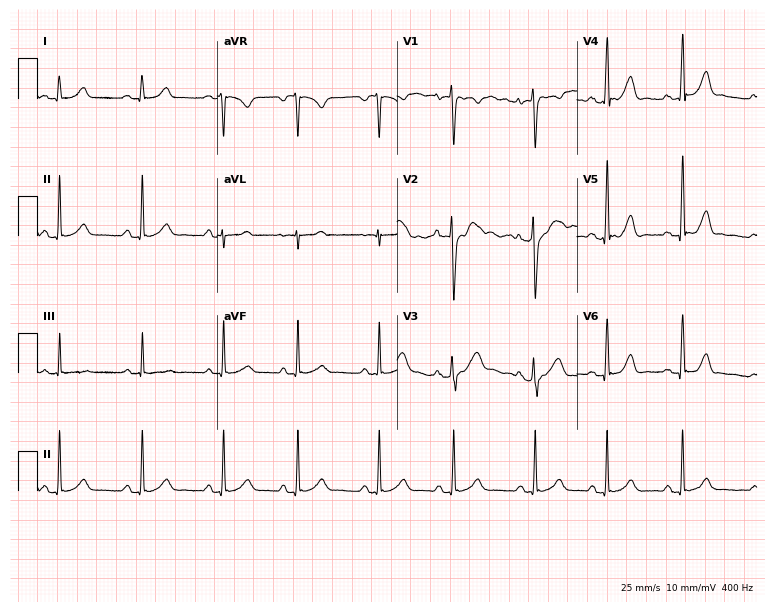
ECG — a female patient, 32 years old. Screened for six findings — first-degree AV block, right bundle branch block, left bundle branch block, sinus bradycardia, atrial fibrillation, sinus tachycardia — none is recorded.